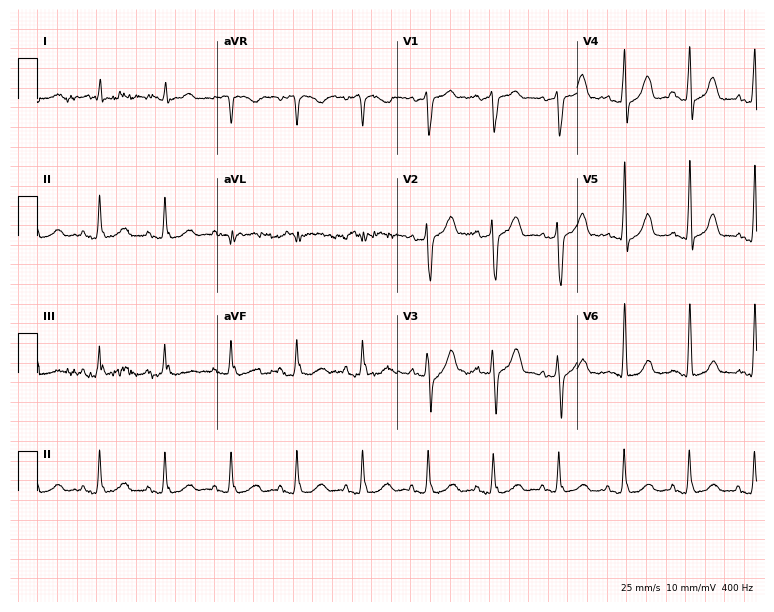
ECG (7.3-second recording at 400 Hz) — a male patient, 66 years old. Screened for six findings — first-degree AV block, right bundle branch block (RBBB), left bundle branch block (LBBB), sinus bradycardia, atrial fibrillation (AF), sinus tachycardia — none is recorded. Findings outside these six are not listed.